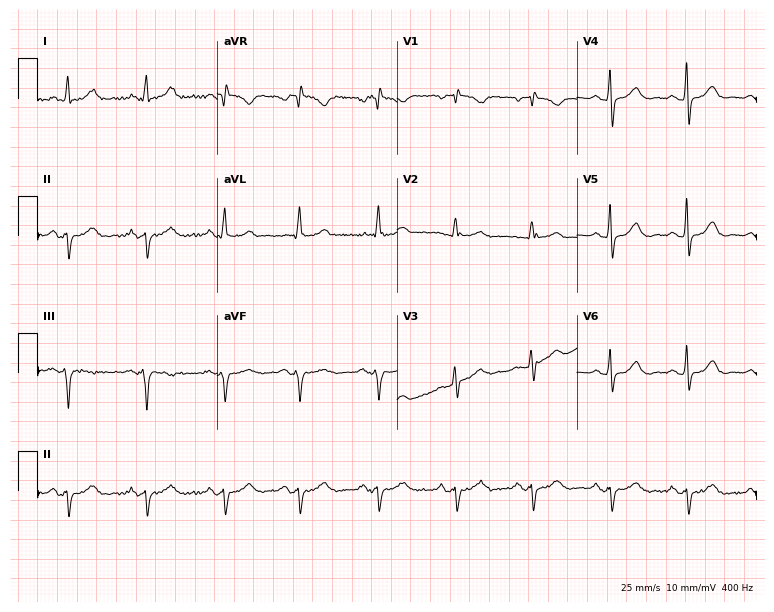
Standard 12-lead ECG recorded from a 73-year-old female. None of these six findings is recorded: first-degree AV block, right bundle branch block (RBBB), left bundle branch block (LBBB), sinus bradycardia, atrial fibrillation (AF), sinus tachycardia. Only these six findings were labelled.